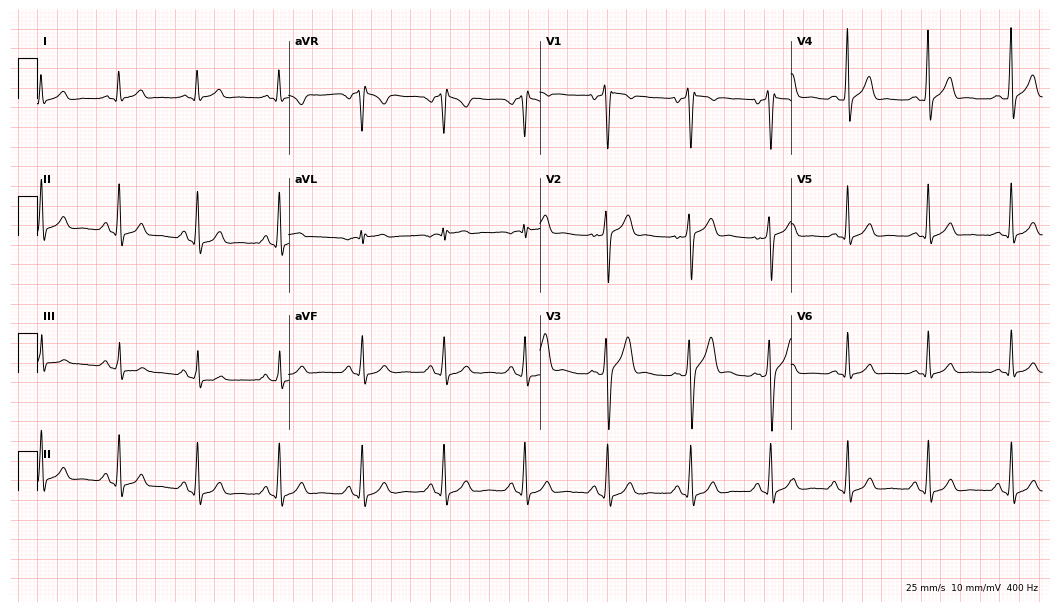
Electrocardiogram, a male patient, 23 years old. Of the six screened findings (first-degree AV block, right bundle branch block, left bundle branch block, sinus bradycardia, atrial fibrillation, sinus tachycardia), none is recorded.